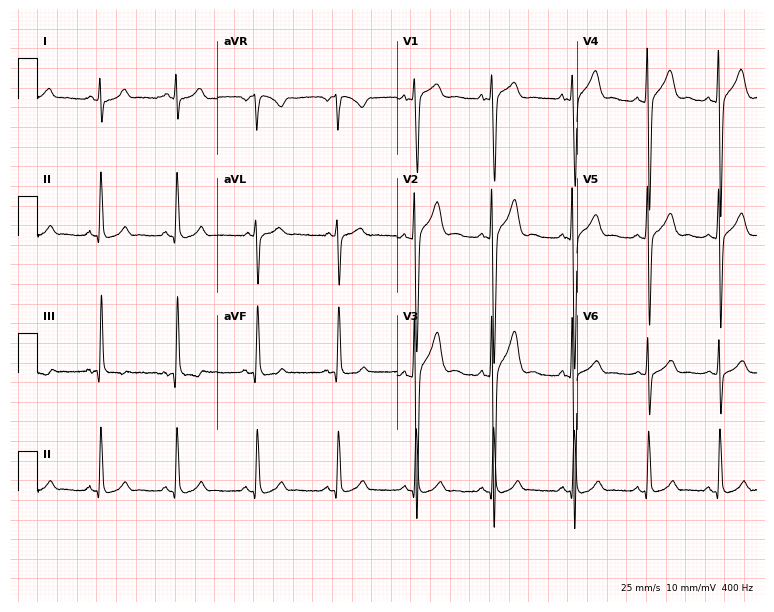
12-lead ECG from a man, 18 years old (7.3-second recording at 400 Hz). No first-degree AV block, right bundle branch block, left bundle branch block, sinus bradycardia, atrial fibrillation or sinus tachycardia recorded for this tracing. Only these six findings were labelled.